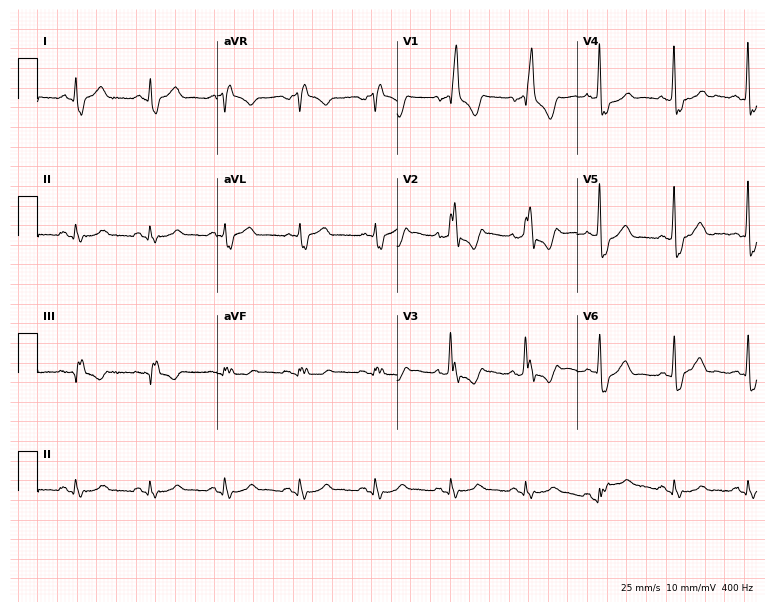
ECG — a male, 76 years old. Findings include right bundle branch block.